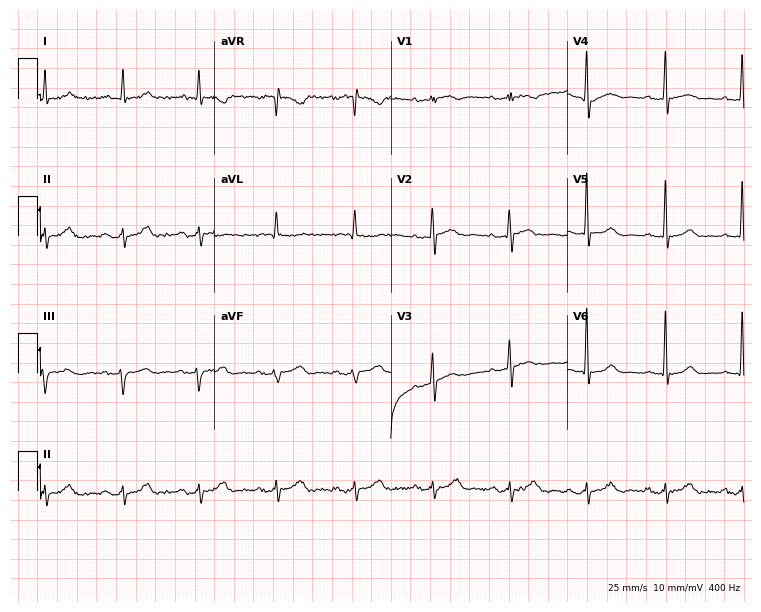
Standard 12-lead ECG recorded from a female, 82 years old (7.2-second recording at 400 Hz). Read as a normal ECG.